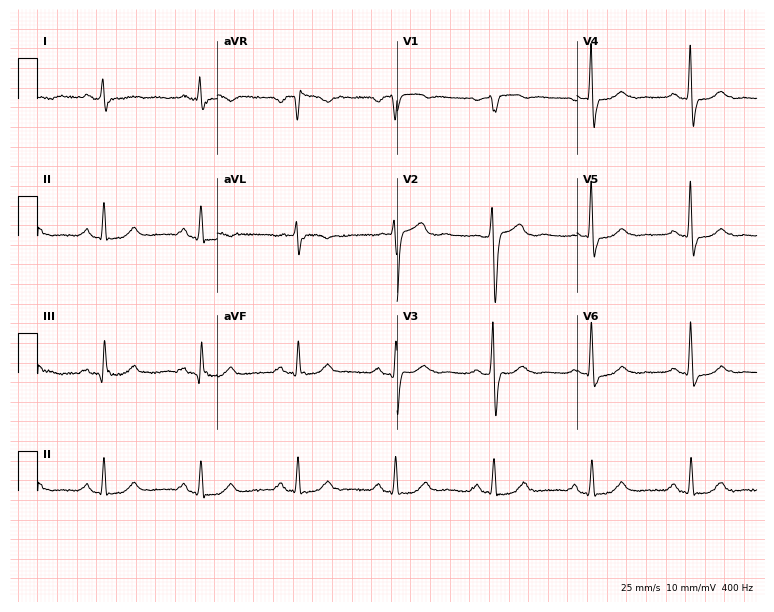
12-lead ECG from a 73-year-old male patient. Shows first-degree AV block.